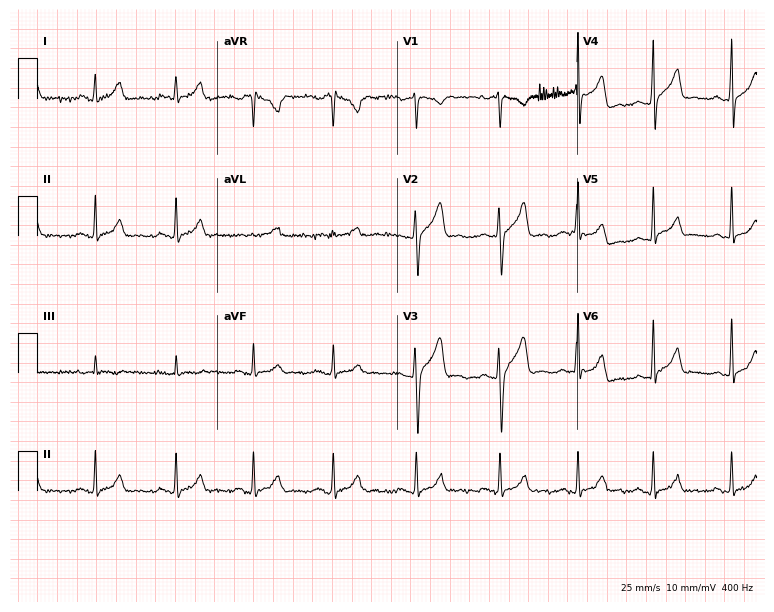
12-lead ECG from a 19-year-old man. No first-degree AV block, right bundle branch block (RBBB), left bundle branch block (LBBB), sinus bradycardia, atrial fibrillation (AF) or sinus tachycardia recorded for this tracing. Findings outside these six are not listed.